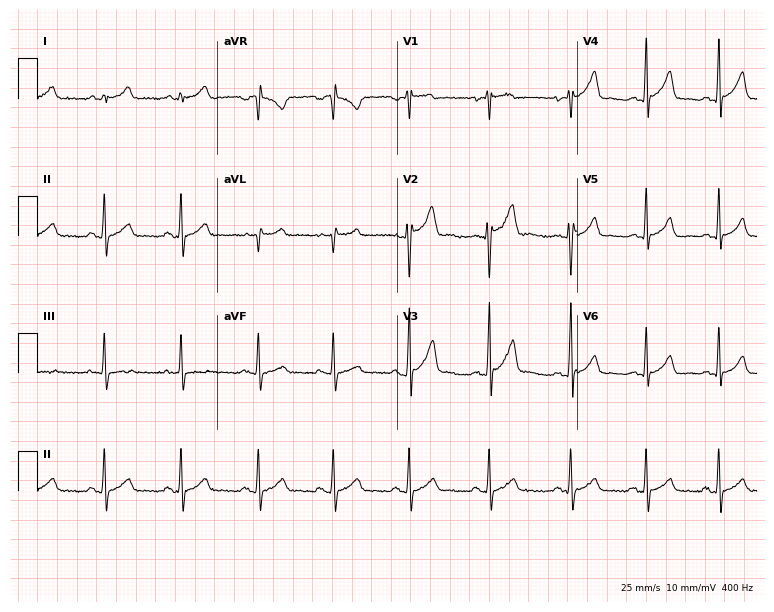
12-lead ECG from a man, 20 years old. No first-degree AV block, right bundle branch block, left bundle branch block, sinus bradycardia, atrial fibrillation or sinus tachycardia recorded for this tracing.